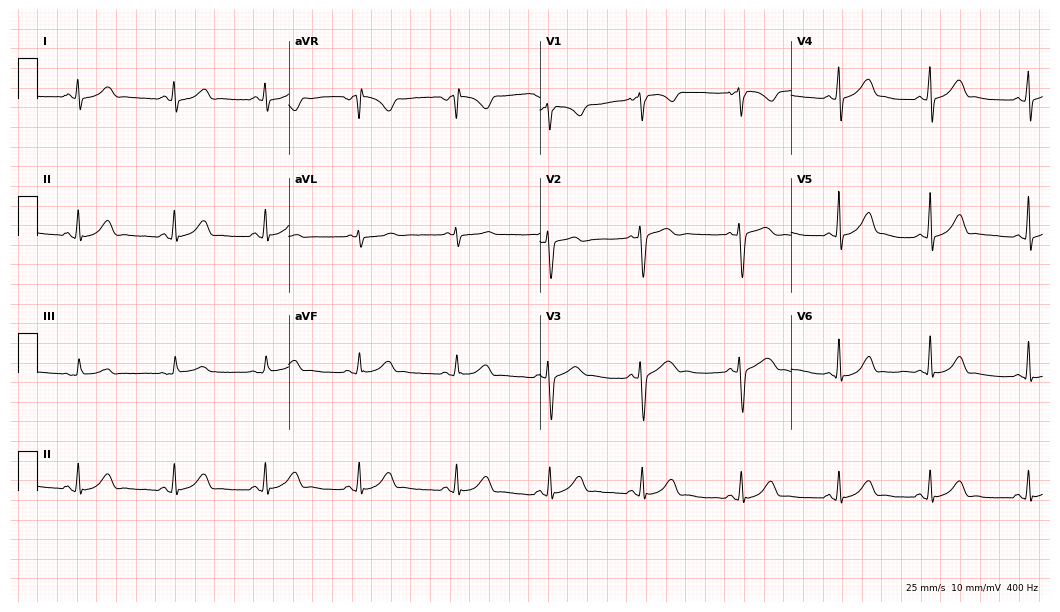
12-lead ECG from a female patient, 22 years old (10.2-second recording at 400 Hz). No first-degree AV block, right bundle branch block (RBBB), left bundle branch block (LBBB), sinus bradycardia, atrial fibrillation (AF) or sinus tachycardia recorded for this tracing.